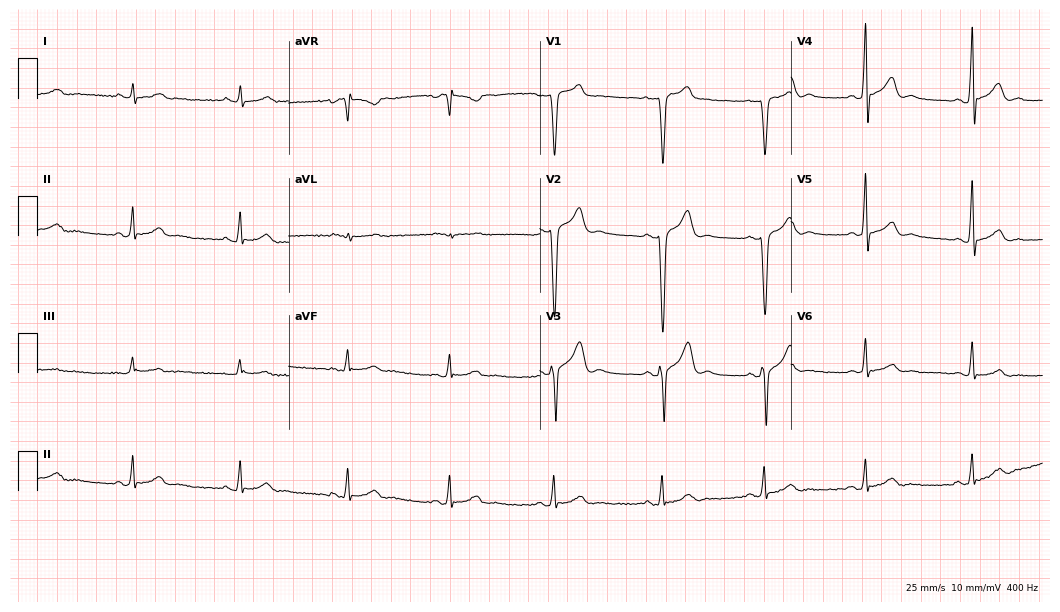
Resting 12-lead electrocardiogram. Patient: a 36-year-old male. Read as a normal ECG.